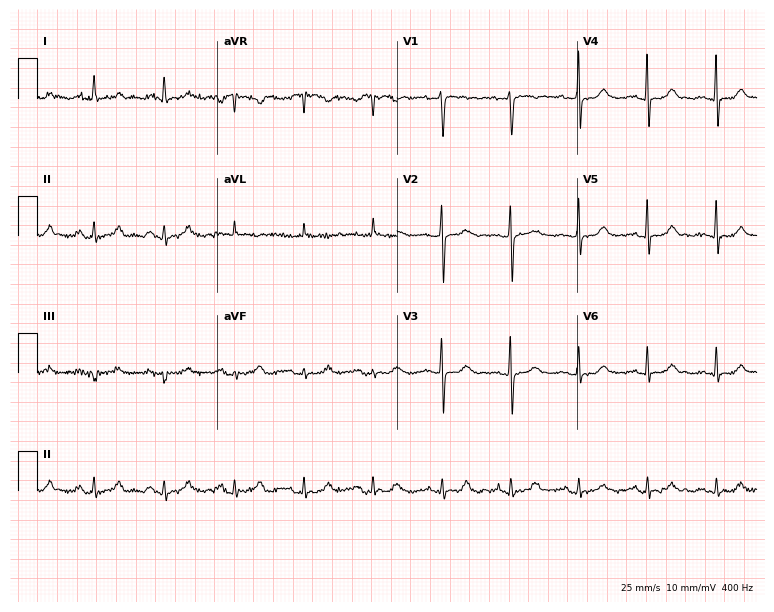
Electrocardiogram (7.3-second recording at 400 Hz), a female patient, 69 years old. Overall reading on record: normal ECG.